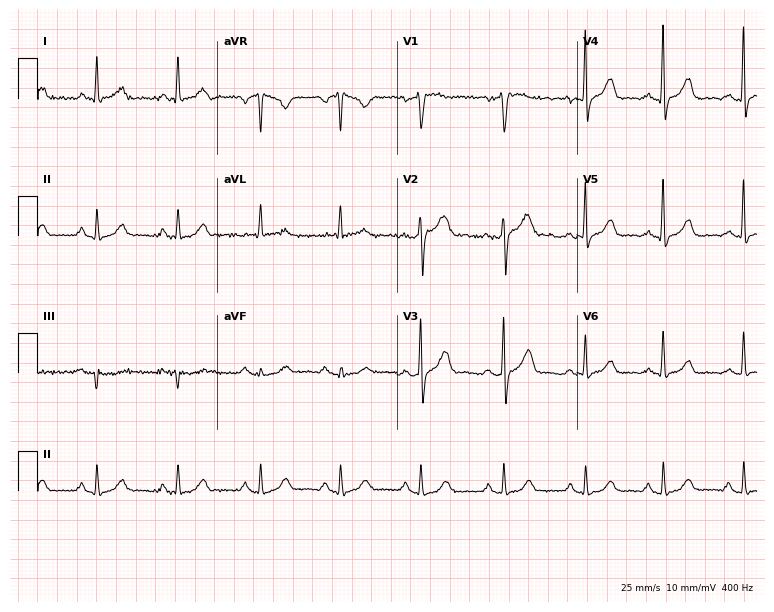
ECG (7.3-second recording at 400 Hz) — a 59-year-old male. Screened for six findings — first-degree AV block, right bundle branch block, left bundle branch block, sinus bradycardia, atrial fibrillation, sinus tachycardia — none is recorded.